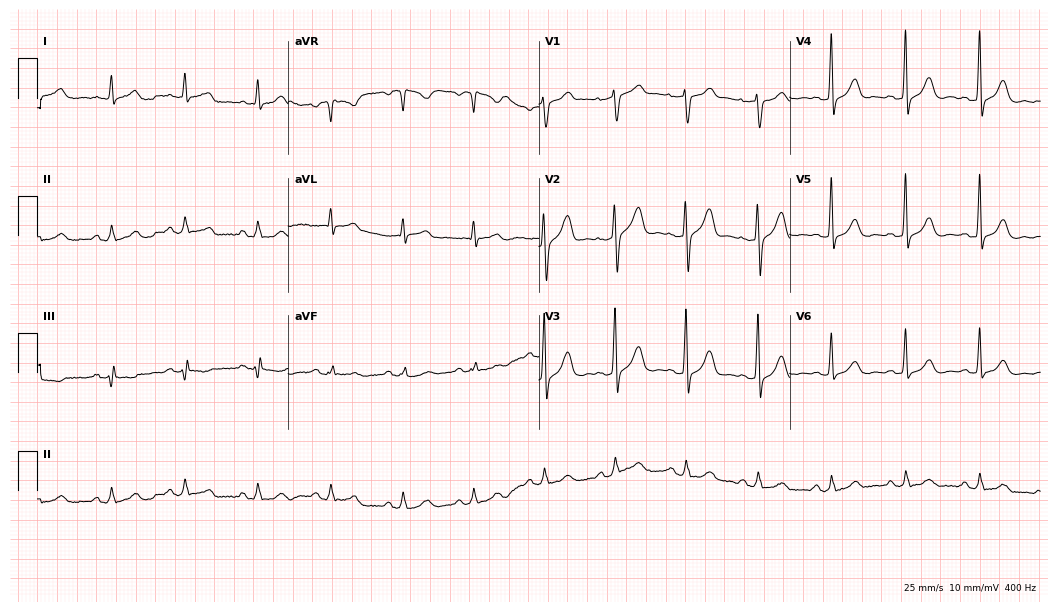
Electrocardiogram, a man, 75 years old. Overall reading on record: normal ECG.